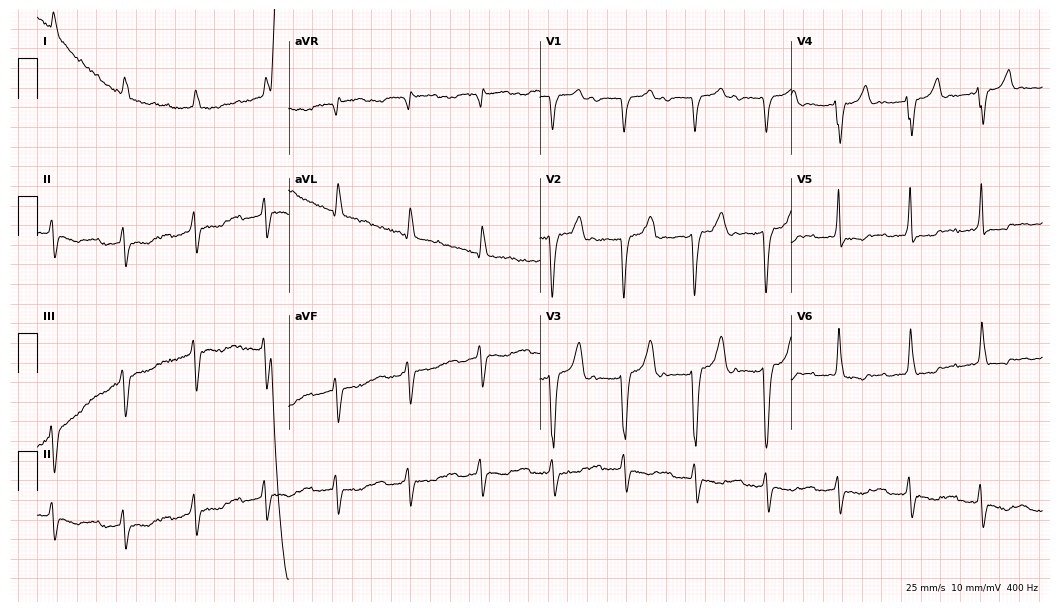
12-lead ECG from an 85-year-old male patient (10.2-second recording at 400 Hz). Shows first-degree AV block.